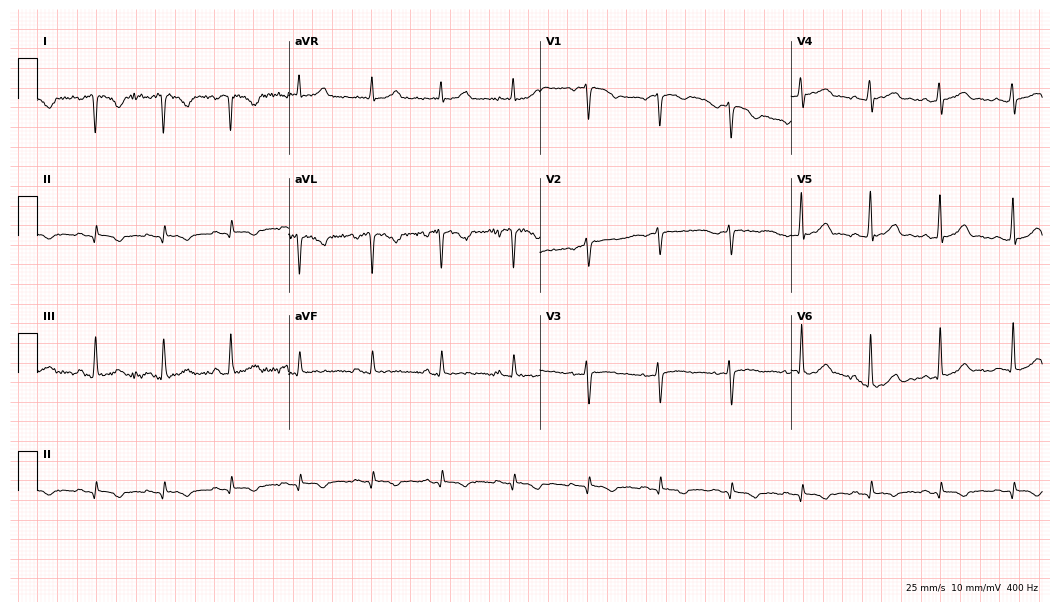
12-lead ECG from a 33-year-old woman (10.2-second recording at 400 Hz). No first-degree AV block, right bundle branch block, left bundle branch block, sinus bradycardia, atrial fibrillation or sinus tachycardia recorded for this tracing.